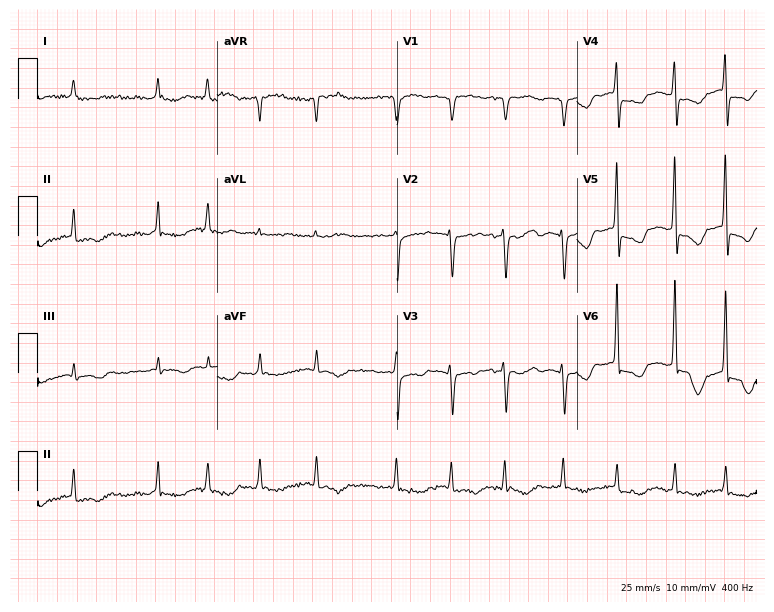
ECG (7.3-second recording at 400 Hz) — a 78-year-old female patient. Findings include atrial fibrillation (AF).